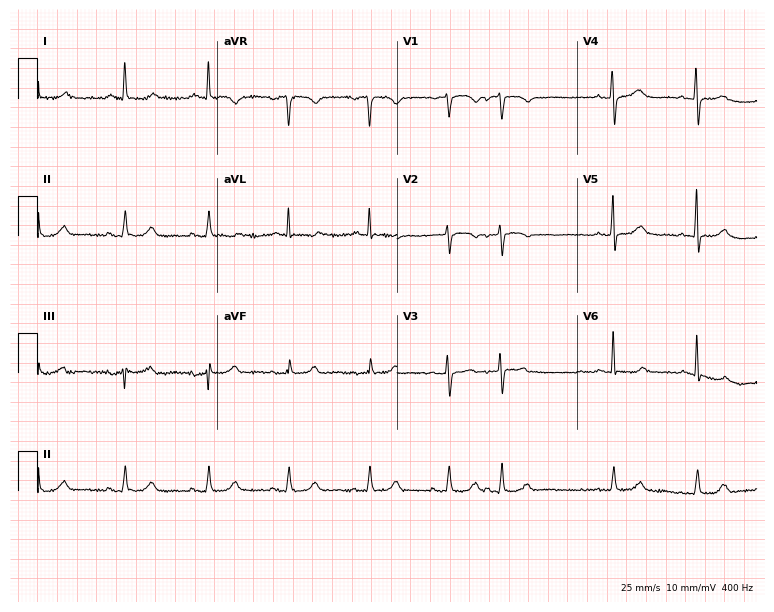
Resting 12-lead electrocardiogram. Patient: a female, 69 years old. Read as a normal ECG.